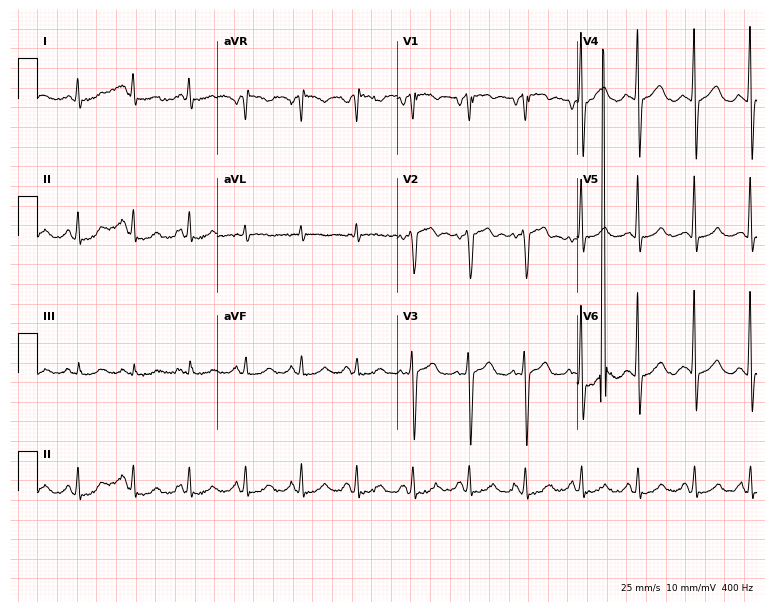
12-lead ECG (7.3-second recording at 400 Hz) from a male patient, 80 years old. Findings include sinus tachycardia (a sinus rate of 100 beats per minute or more).